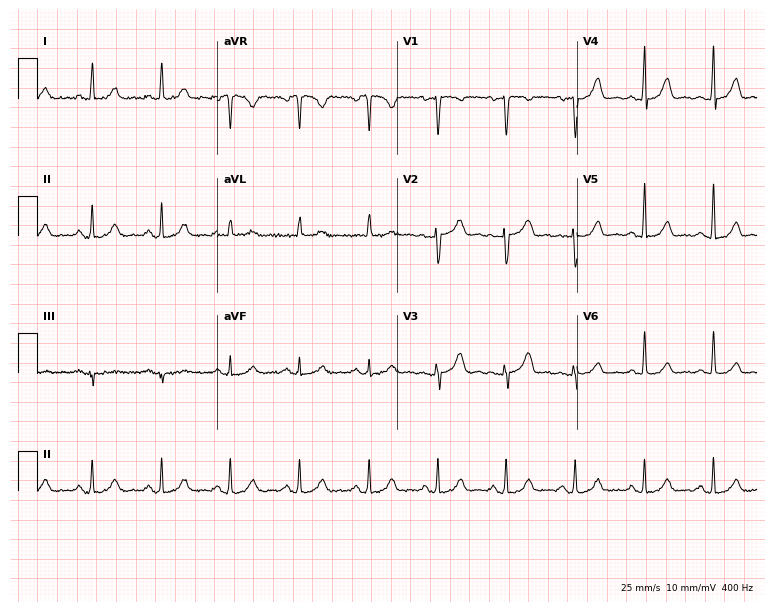
Resting 12-lead electrocardiogram. Patient: a 47-year-old woman. Read as a normal ECG.